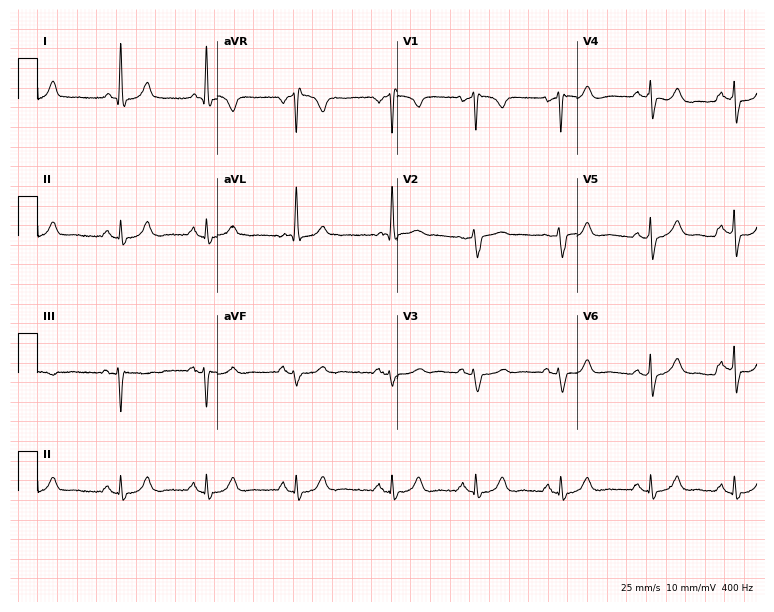
12-lead ECG (7.3-second recording at 400 Hz) from a 79-year-old woman. Labelled as a normal ECG.